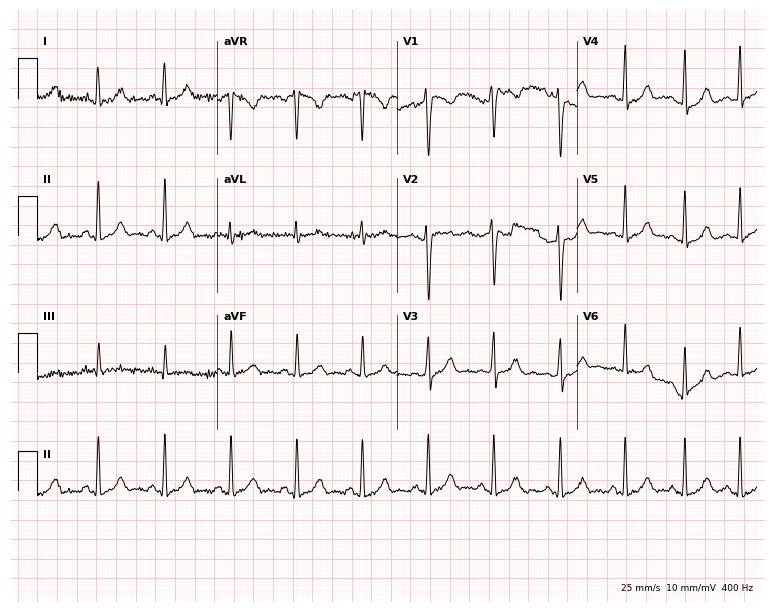
ECG — a 27-year-old female. Labelled as a normal ECG.